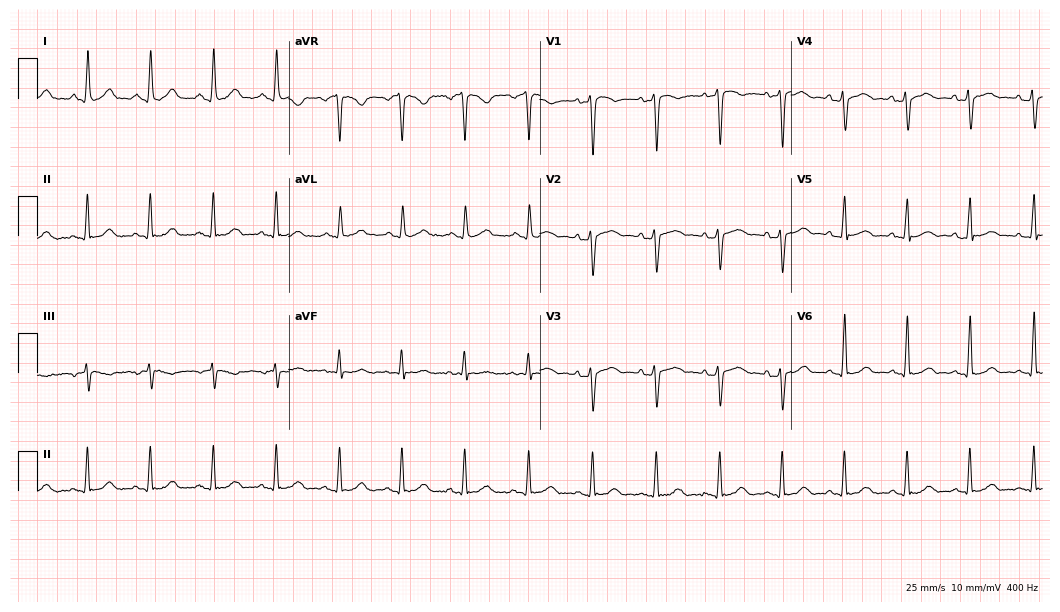
12-lead ECG (10.2-second recording at 400 Hz) from a male patient, 48 years old. Labelled as a normal ECG.